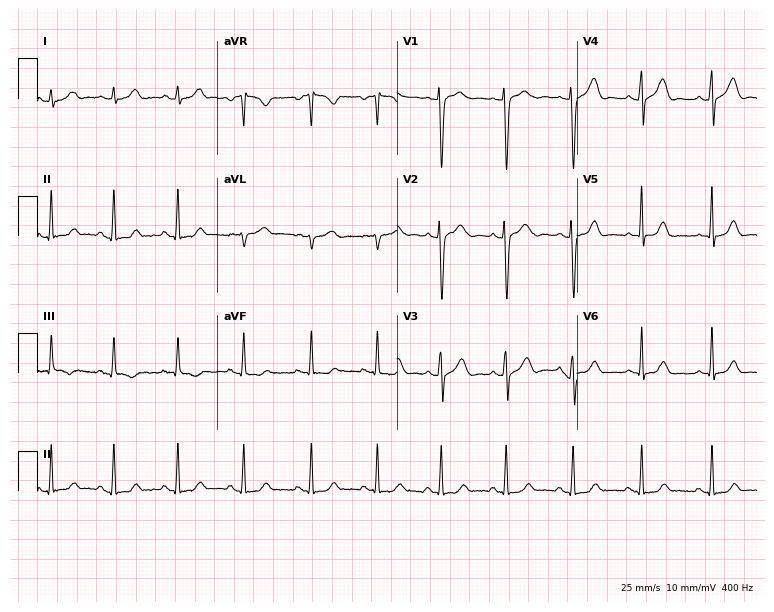
ECG — a female patient, 25 years old. Screened for six findings — first-degree AV block, right bundle branch block (RBBB), left bundle branch block (LBBB), sinus bradycardia, atrial fibrillation (AF), sinus tachycardia — none is recorded. Other findings, if any, are not listed.